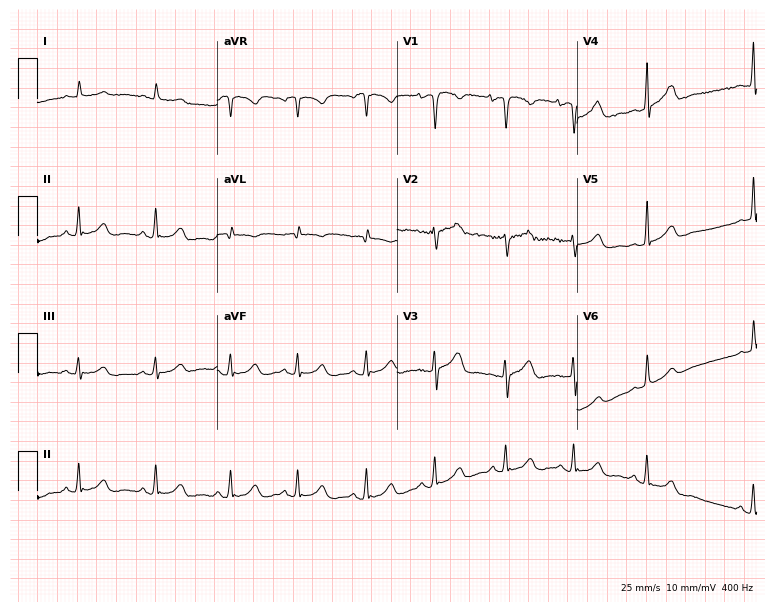
Resting 12-lead electrocardiogram (7.3-second recording at 400 Hz). Patient: a 68-year-old male. None of these six findings is recorded: first-degree AV block, right bundle branch block, left bundle branch block, sinus bradycardia, atrial fibrillation, sinus tachycardia.